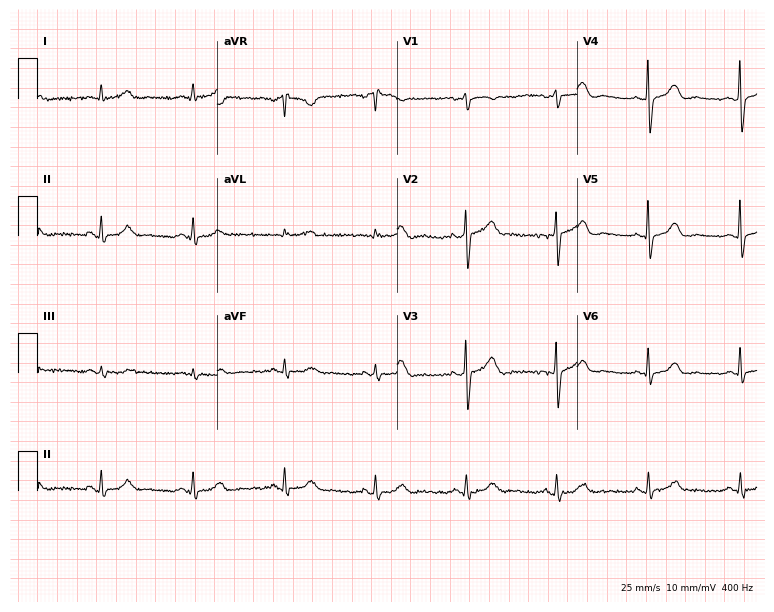
12-lead ECG (7.3-second recording at 400 Hz) from a woman, 60 years old. Labelled as a normal ECG.